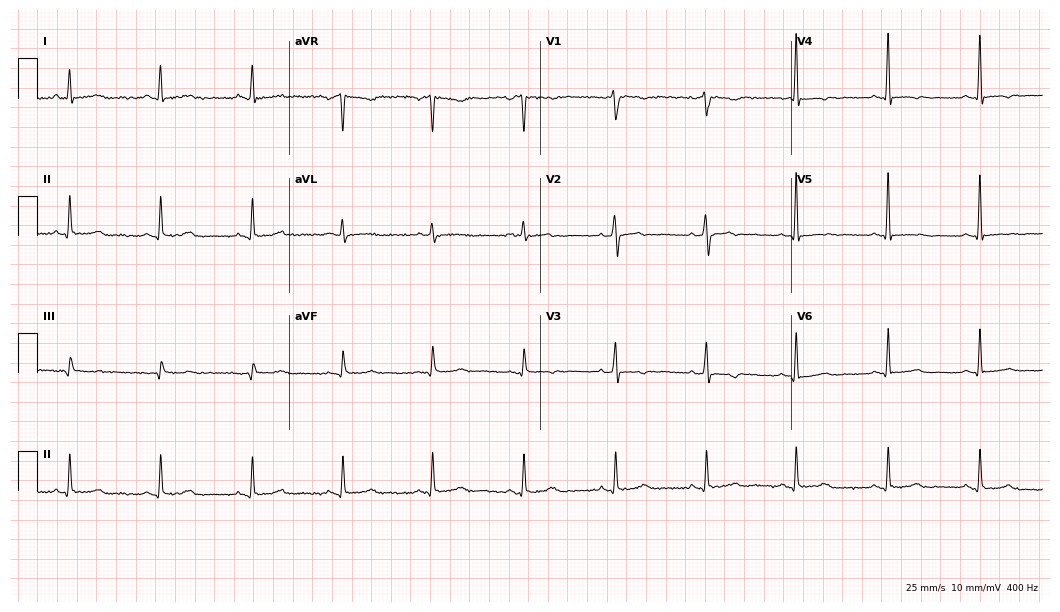
ECG (10.2-second recording at 400 Hz) — a female patient, 58 years old. Screened for six findings — first-degree AV block, right bundle branch block, left bundle branch block, sinus bradycardia, atrial fibrillation, sinus tachycardia — none is recorded.